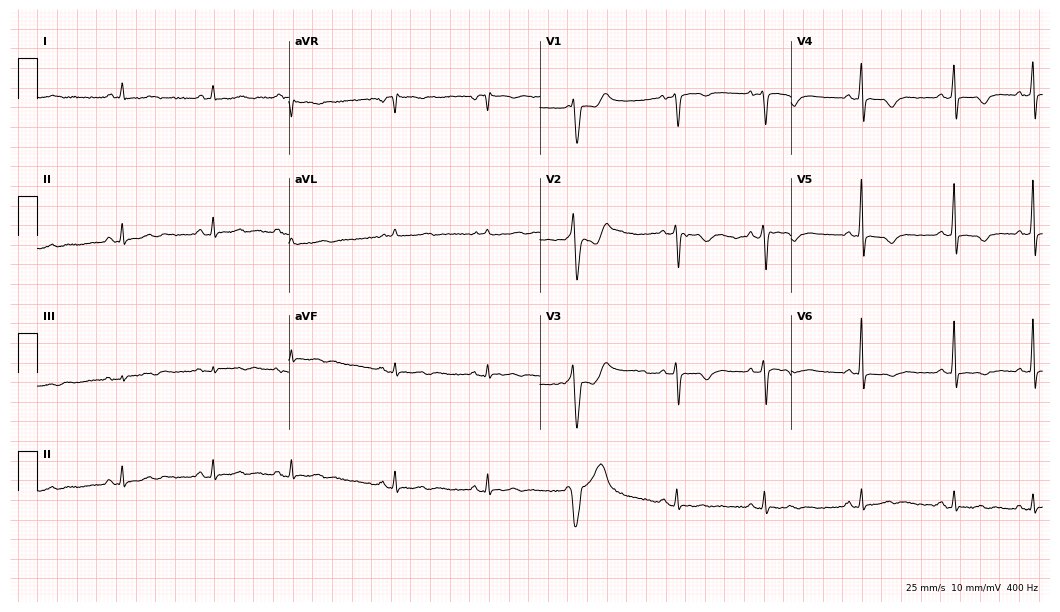
Resting 12-lead electrocardiogram. Patient: a female, 85 years old. None of these six findings is recorded: first-degree AV block, right bundle branch block, left bundle branch block, sinus bradycardia, atrial fibrillation, sinus tachycardia.